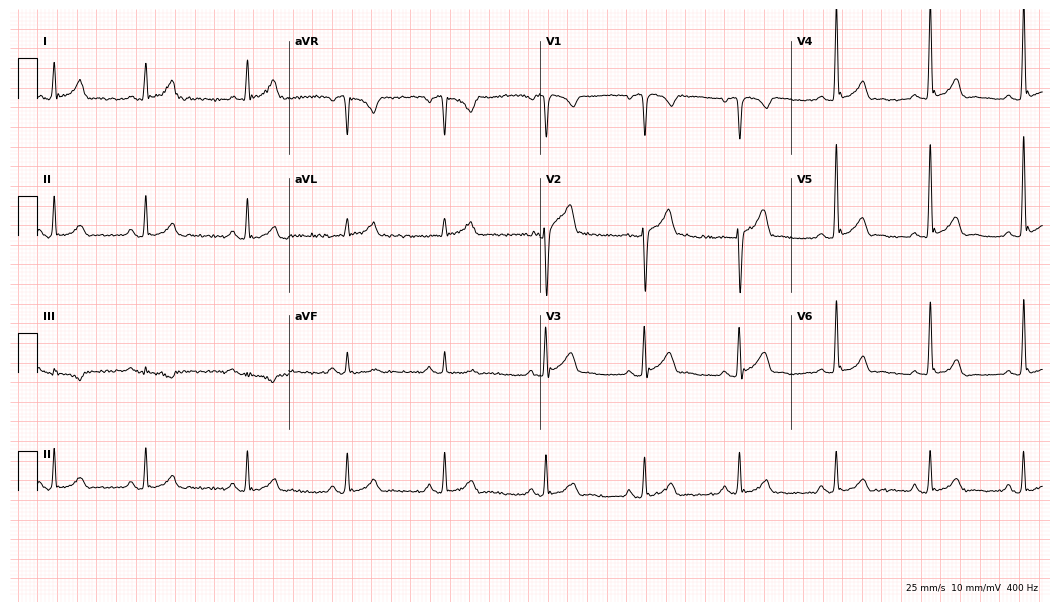
Resting 12-lead electrocardiogram (10.2-second recording at 400 Hz). Patient: a man, 35 years old. None of these six findings is recorded: first-degree AV block, right bundle branch block, left bundle branch block, sinus bradycardia, atrial fibrillation, sinus tachycardia.